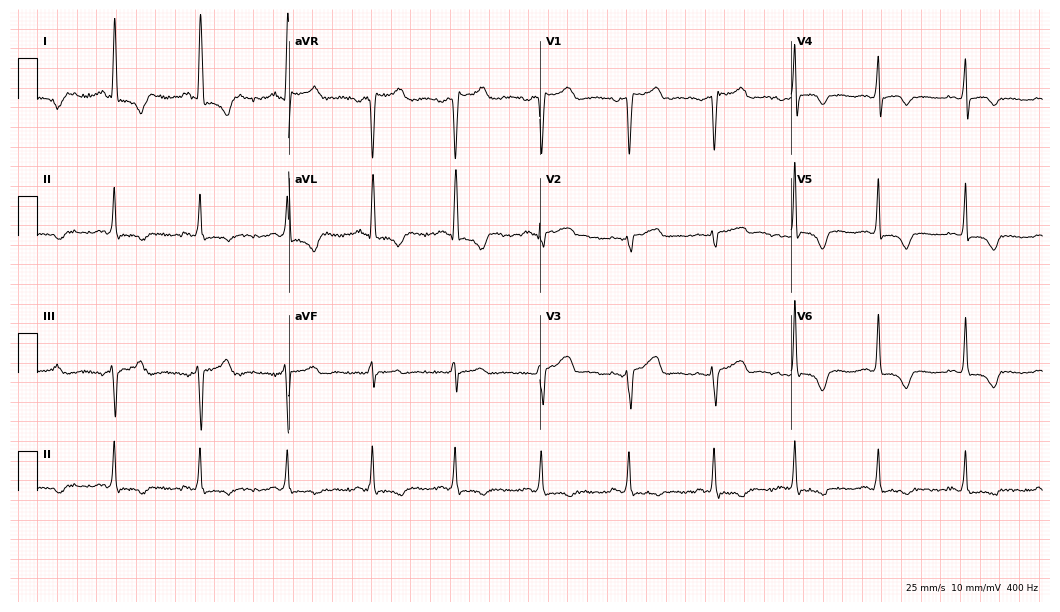
Resting 12-lead electrocardiogram. Patient: a 45-year-old female. None of these six findings is recorded: first-degree AV block, right bundle branch block, left bundle branch block, sinus bradycardia, atrial fibrillation, sinus tachycardia. Findings outside these six are not listed.